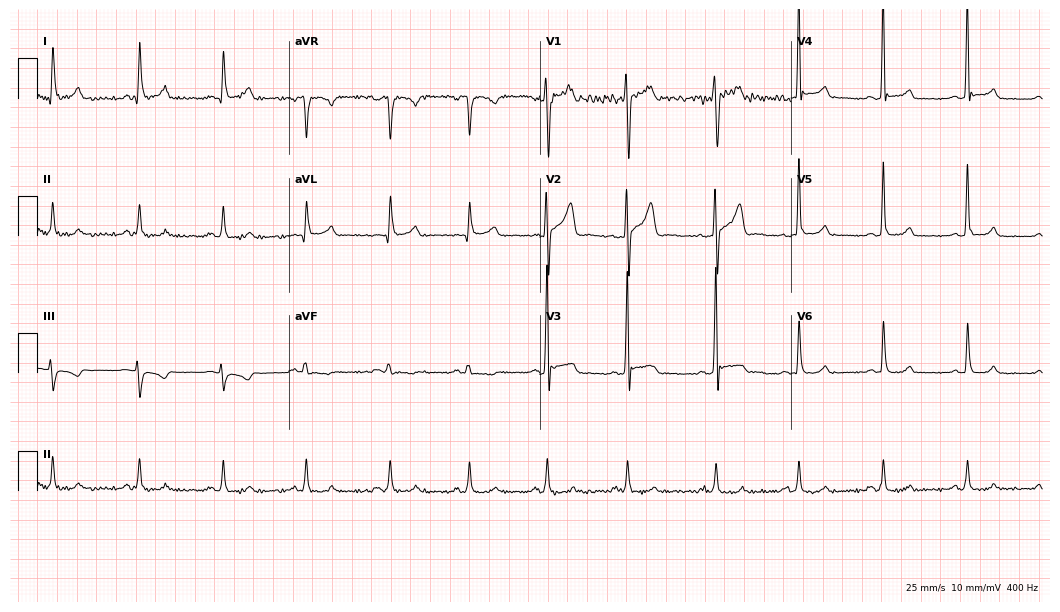
Standard 12-lead ECG recorded from a 29-year-old male patient (10.2-second recording at 400 Hz). Read as a normal ECG.